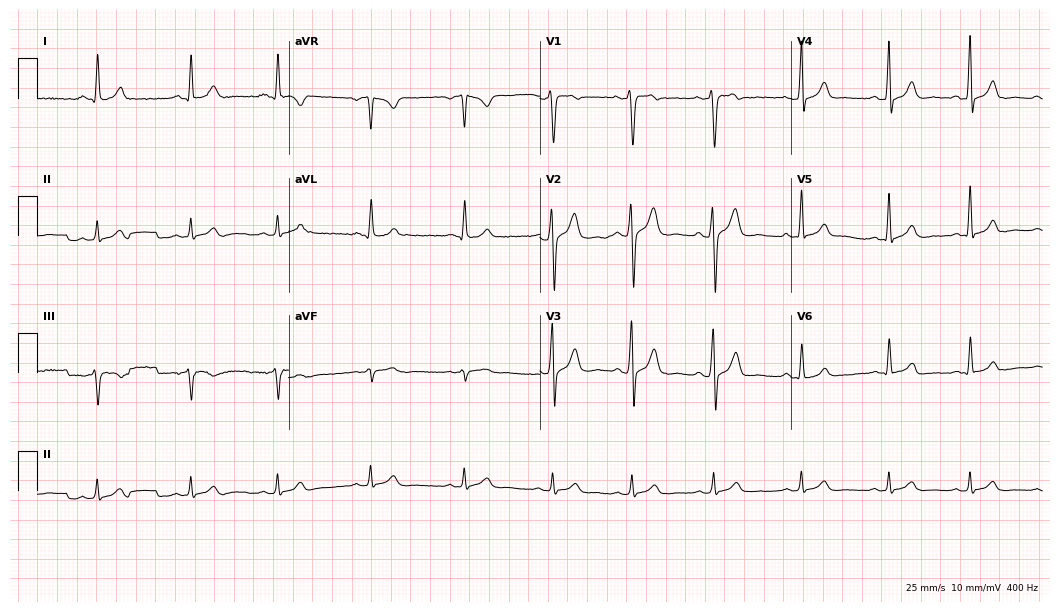
12-lead ECG (10.2-second recording at 400 Hz) from a male patient, 24 years old. Labelled as a normal ECG.